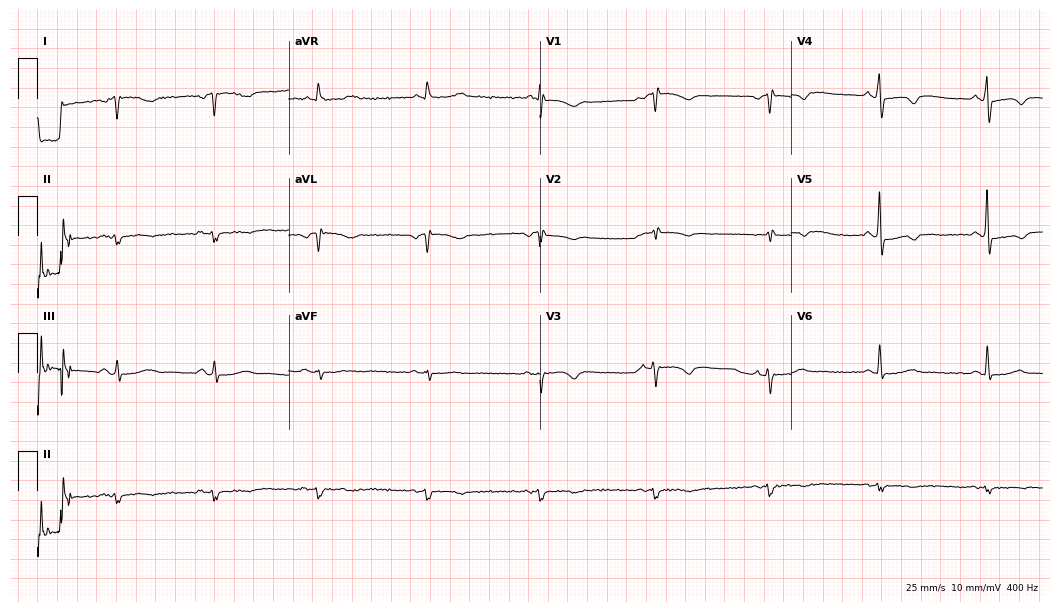
ECG (10.2-second recording at 400 Hz) — a man, 69 years old. Labelled as a normal ECG.